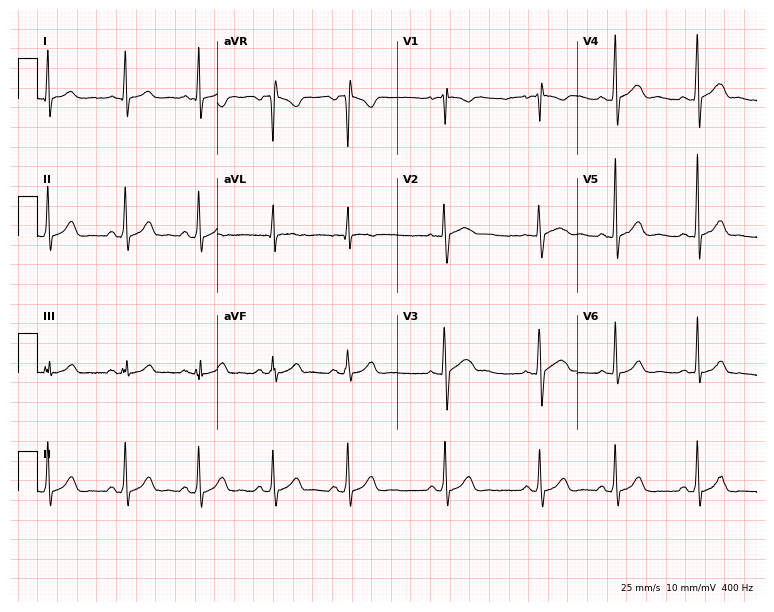
Electrocardiogram, a woman, 24 years old. Overall reading on record: normal ECG.